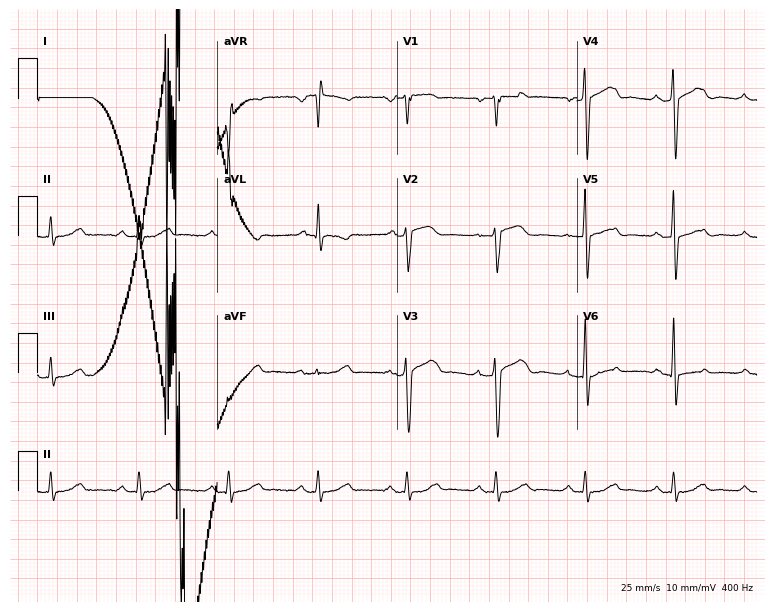
Standard 12-lead ECG recorded from a 51-year-old male patient (7.3-second recording at 400 Hz). Read as a normal ECG.